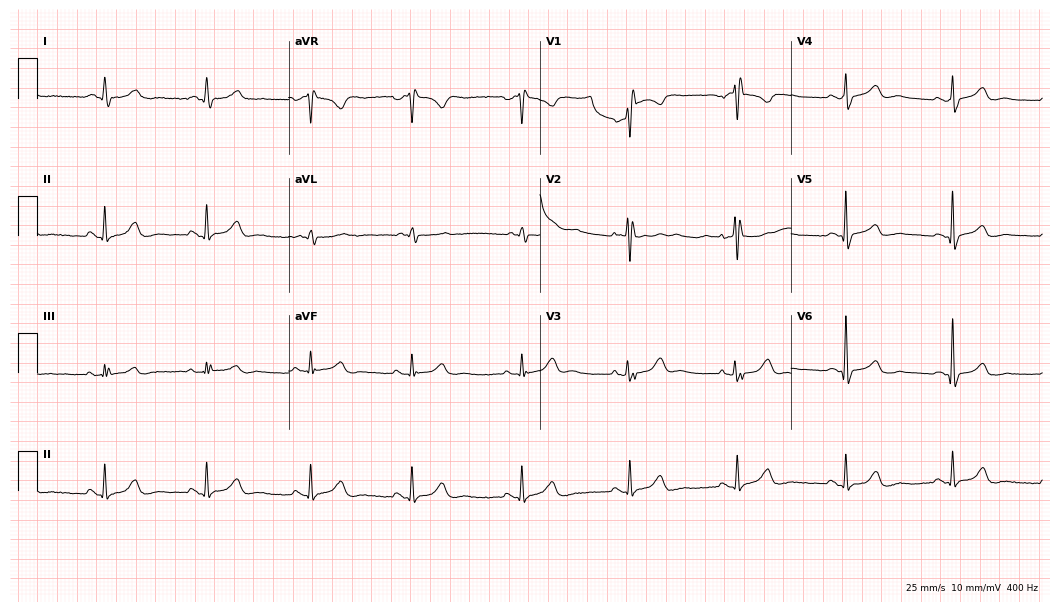
Electrocardiogram, a 70-year-old woman. Interpretation includes right bundle branch block (RBBB).